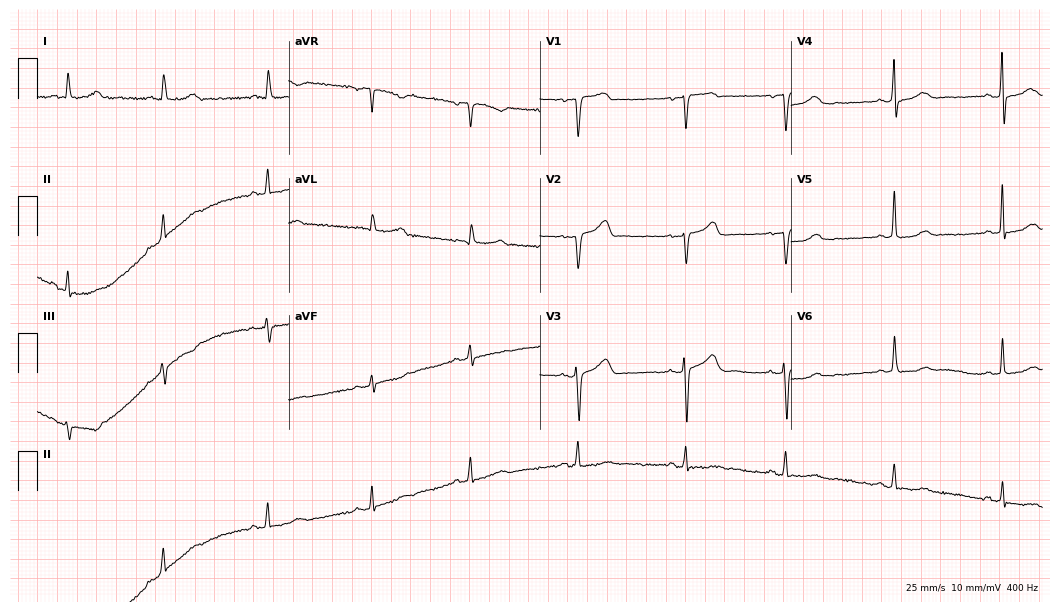
12-lead ECG from a female, 56 years old. Labelled as a normal ECG.